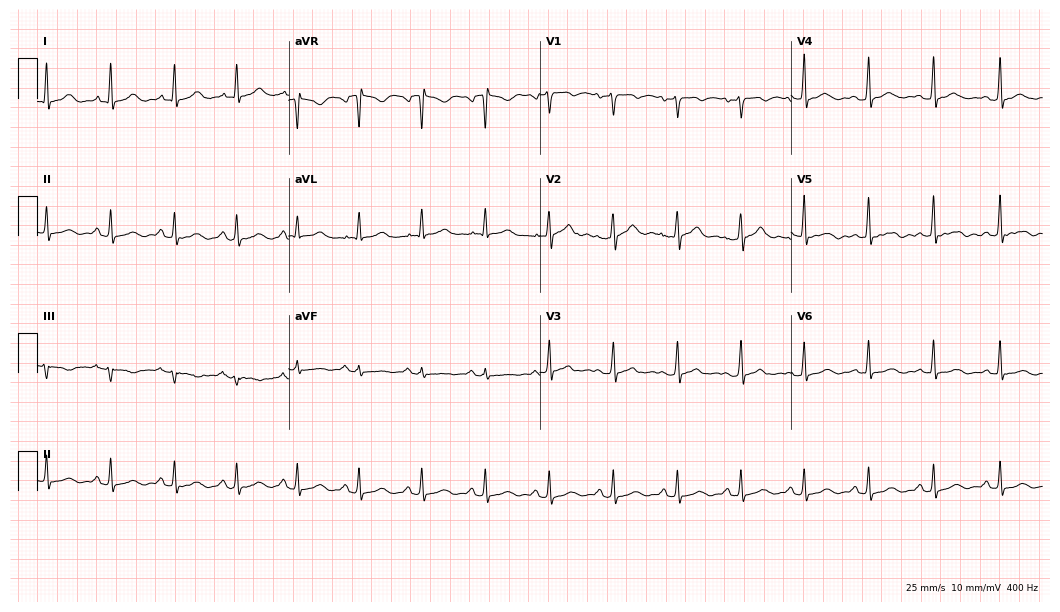
ECG — a 52-year-old female patient. Labelled as a normal ECG.